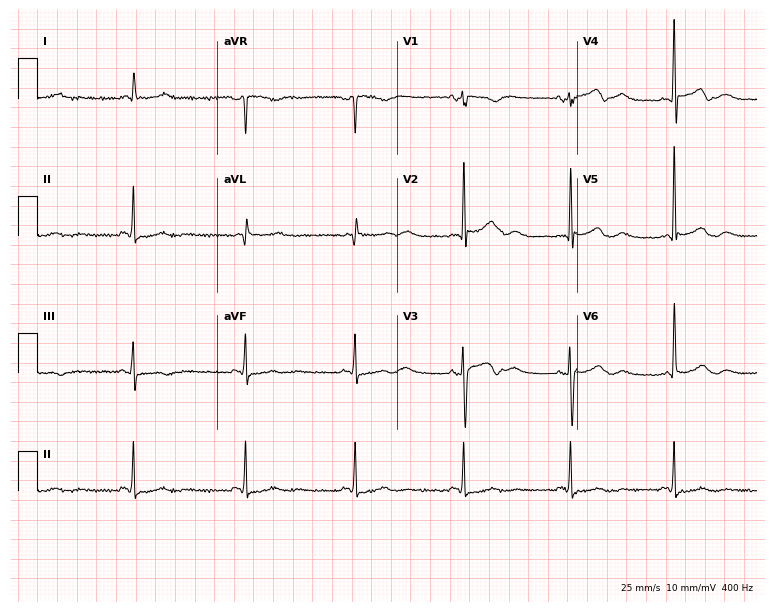
Standard 12-lead ECG recorded from a female patient, 78 years old (7.3-second recording at 400 Hz). None of these six findings is recorded: first-degree AV block, right bundle branch block (RBBB), left bundle branch block (LBBB), sinus bradycardia, atrial fibrillation (AF), sinus tachycardia.